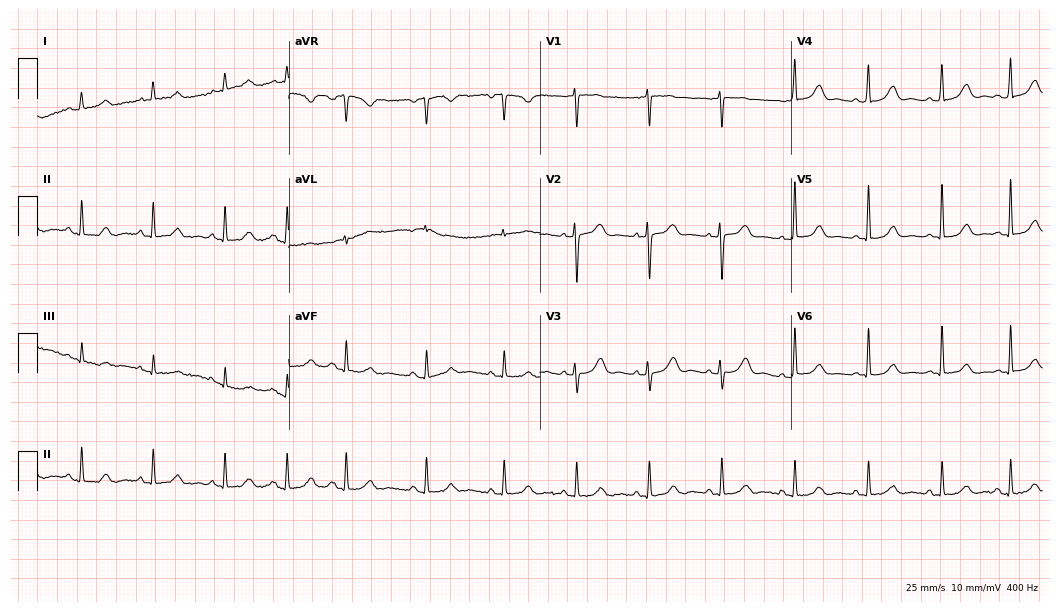
Standard 12-lead ECG recorded from a 68-year-old female patient (10.2-second recording at 400 Hz). Read as a normal ECG.